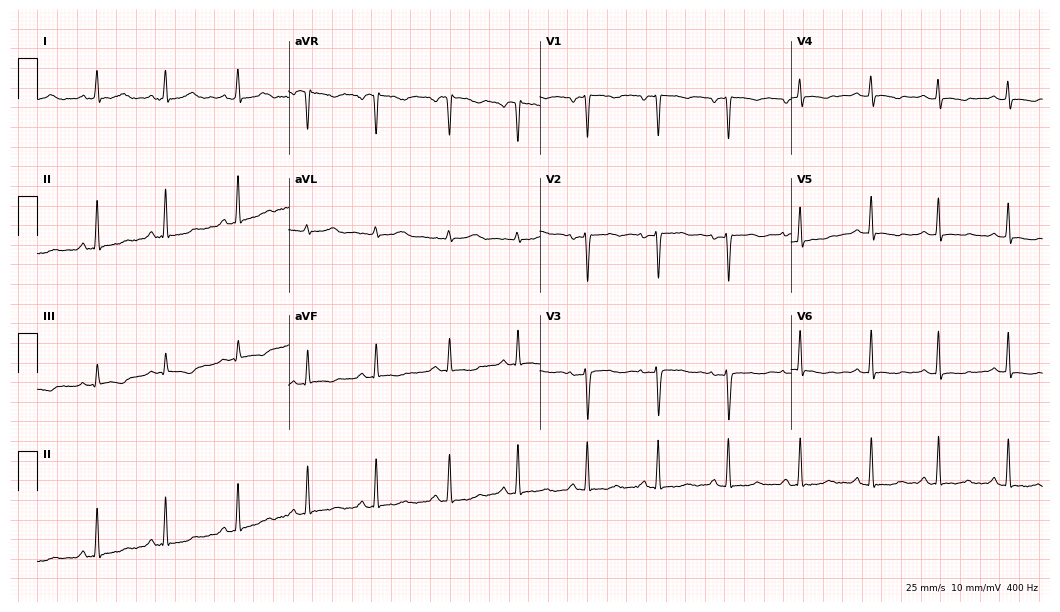
ECG — a 48-year-old woman. Screened for six findings — first-degree AV block, right bundle branch block, left bundle branch block, sinus bradycardia, atrial fibrillation, sinus tachycardia — none is recorded. Only these six findings were labelled.